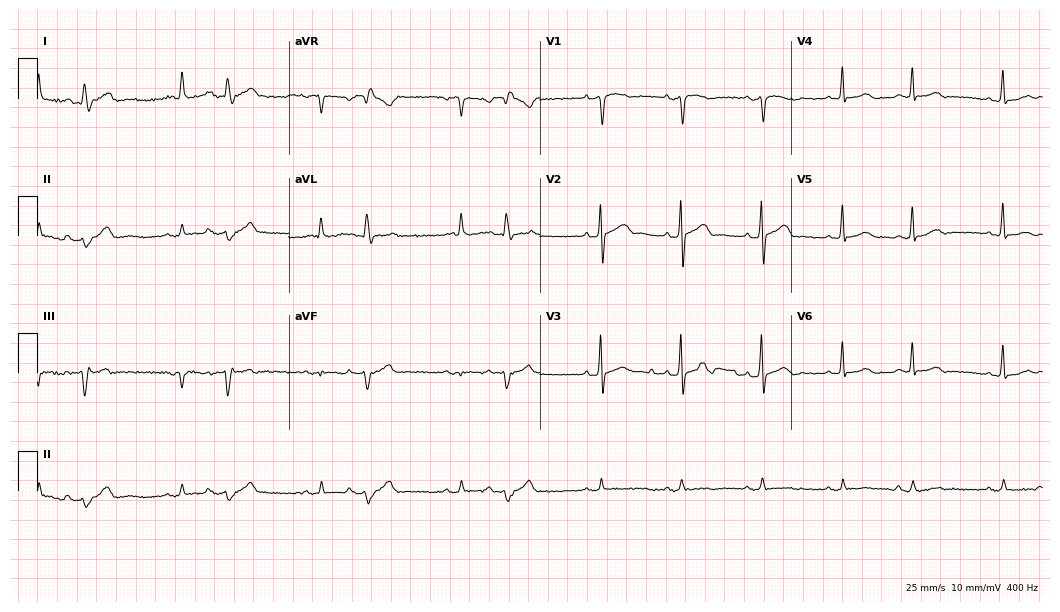
Electrocardiogram, a 70-year-old man. Of the six screened findings (first-degree AV block, right bundle branch block, left bundle branch block, sinus bradycardia, atrial fibrillation, sinus tachycardia), none is recorded.